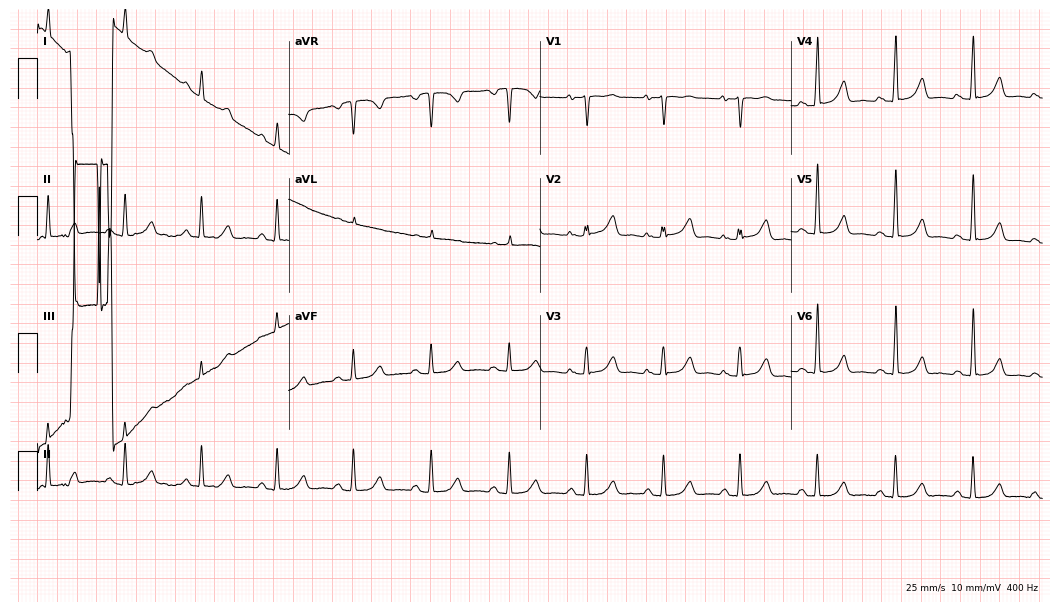
12-lead ECG (10.2-second recording at 400 Hz) from a woman, 54 years old. Screened for six findings — first-degree AV block, right bundle branch block, left bundle branch block, sinus bradycardia, atrial fibrillation, sinus tachycardia — none is recorded. Findings outside these six are not listed.